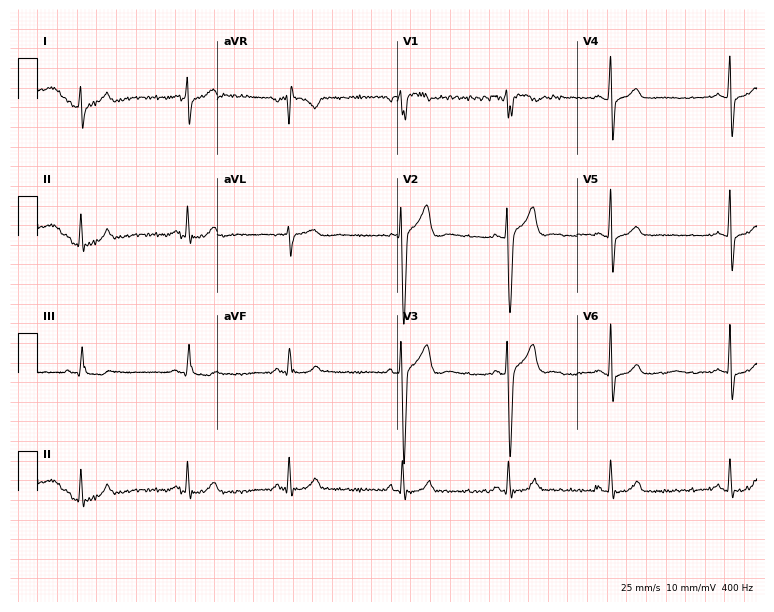
12-lead ECG from a 22-year-old male (7.3-second recording at 400 Hz). No first-degree AV block, right bundle branch block, left bundle branch block, sinus bradycardia, atrial fibrillation or sinus tachycardia recorded for this tracing.